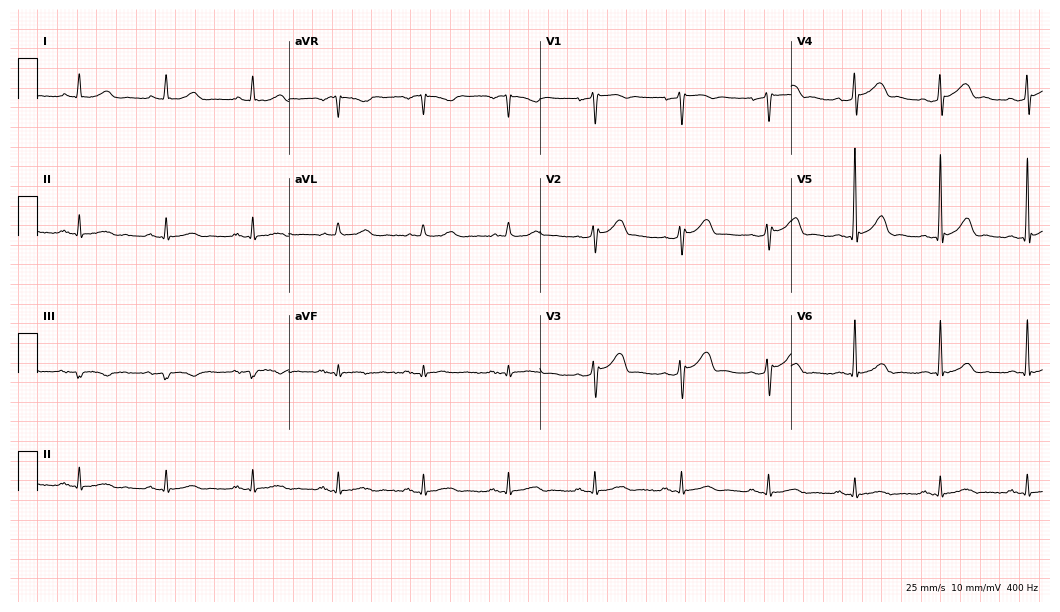
ECG (10.2-second recording at 400 Hz) — a male, 53 years old. Labelled as a normal ECG.